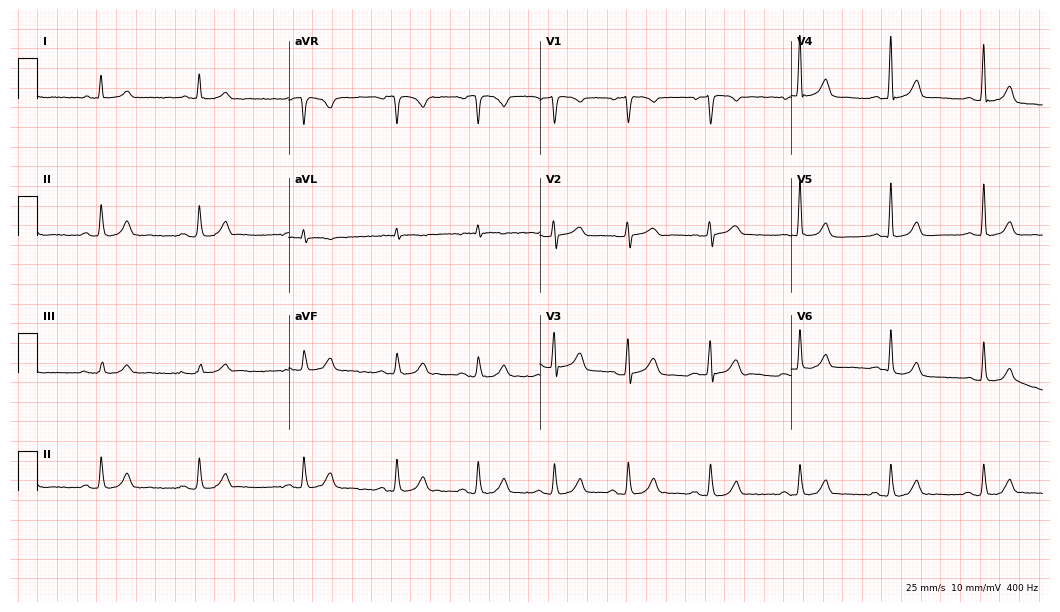
12-lead ECG from a 68-year-old male patient. Recorded interpretation: within normal limits.